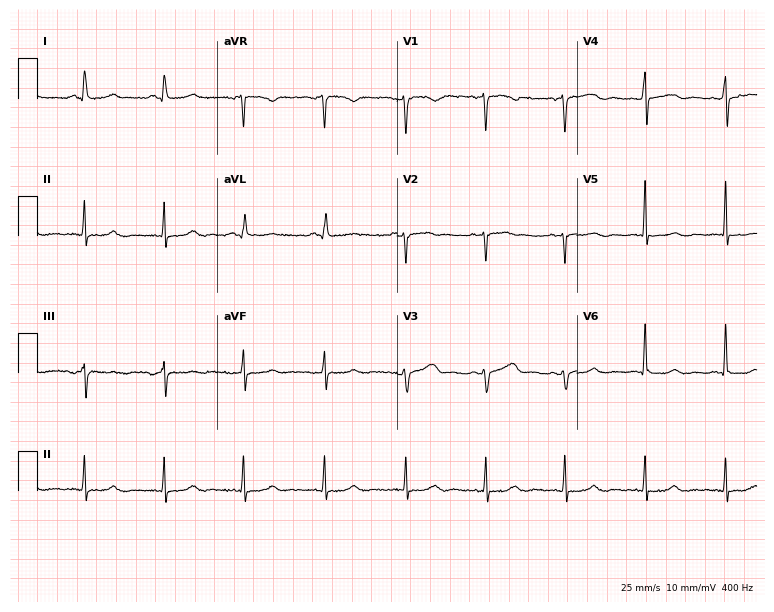
ECG (7.3-second recording at 400 Hz) — a 55-year-old female. Screened for six findings — first-degree AV block, right bundle branch block (RBBB), left bundle branch block (LBBB), sinus bradycardia, atrial fibrillation (AF), sinus tachycardia — none is recorded. Findings outside these six are not listed.